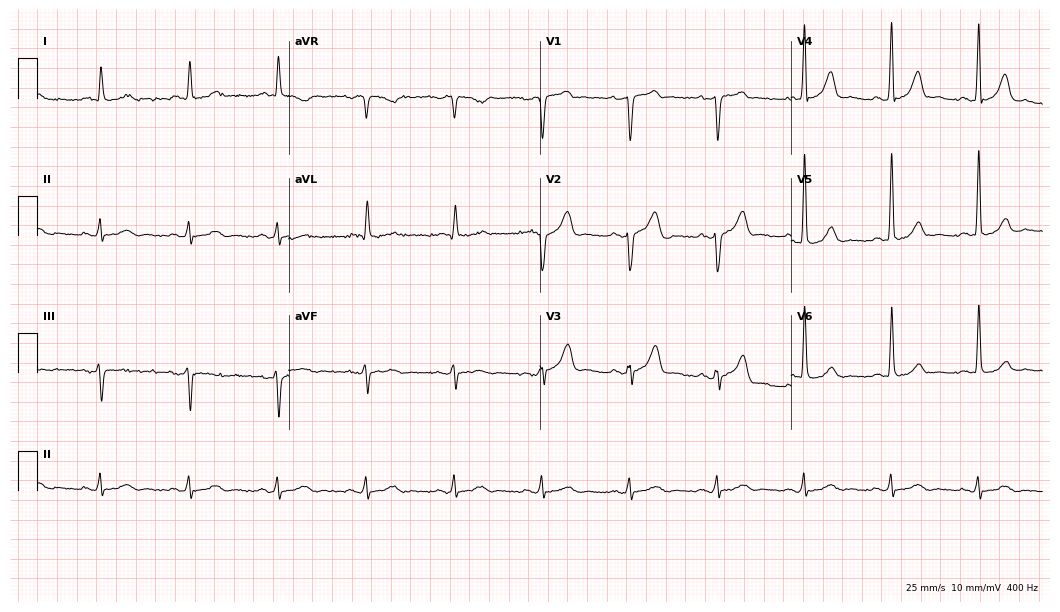
ECG (10.2-second recording at 400 Hz) — an 80-year-old male. Screened for six findings — first-degree AV block, right bundle branch block, left bundle branch block, sinus bradycardia, atrial fibrillation, sinus tachycardia — none is recorded. Other findings, if any, are not listed.